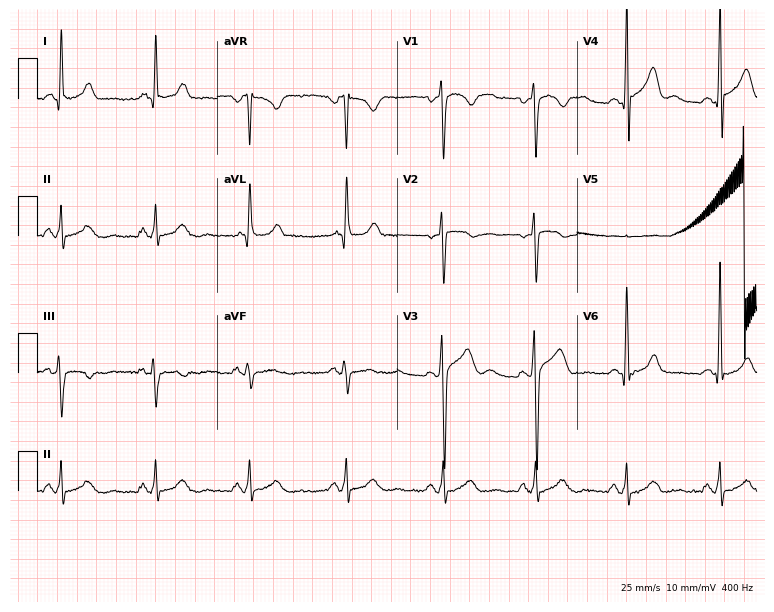
Electrocardiogram, a 40-year-old man. Of the six screened findings (first-degree AV block, right bundle branch block (RBBB), left bundle branch block (LBBB), sinus bradycardia, atrial fibrillation (AF), sinus tachycardia), none is recorded. Only these six findings were labelled.